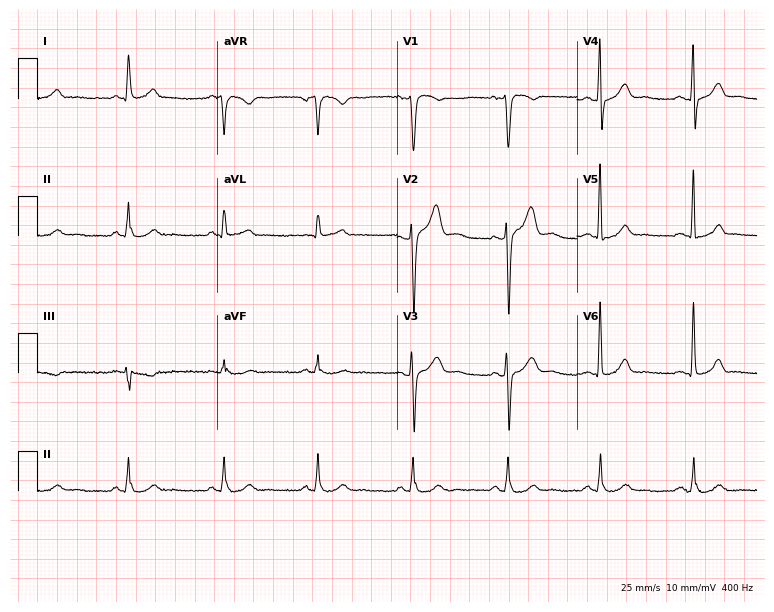
12-lead ECG from a male, 60 years old (7.3-second recording at 400 Hz). Recorded interpretation: within normal limits.